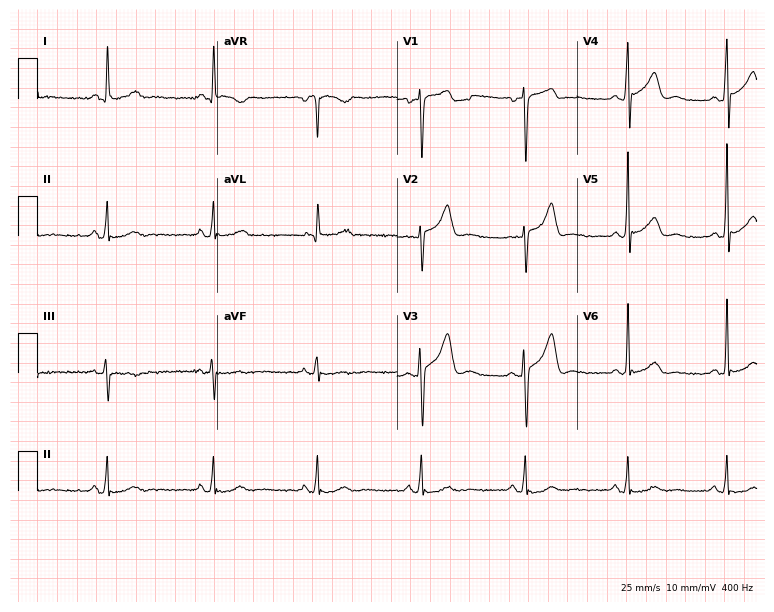
Standard 12-lead ECG recorded from a 39-year-old man. None of these six findings is recorded: first-degree AV block, right bundle branch block, left bundle branch block, sinus bradycardia, atrial fibrillation, sinus tachycardia. Other findings, if any, are not listed.